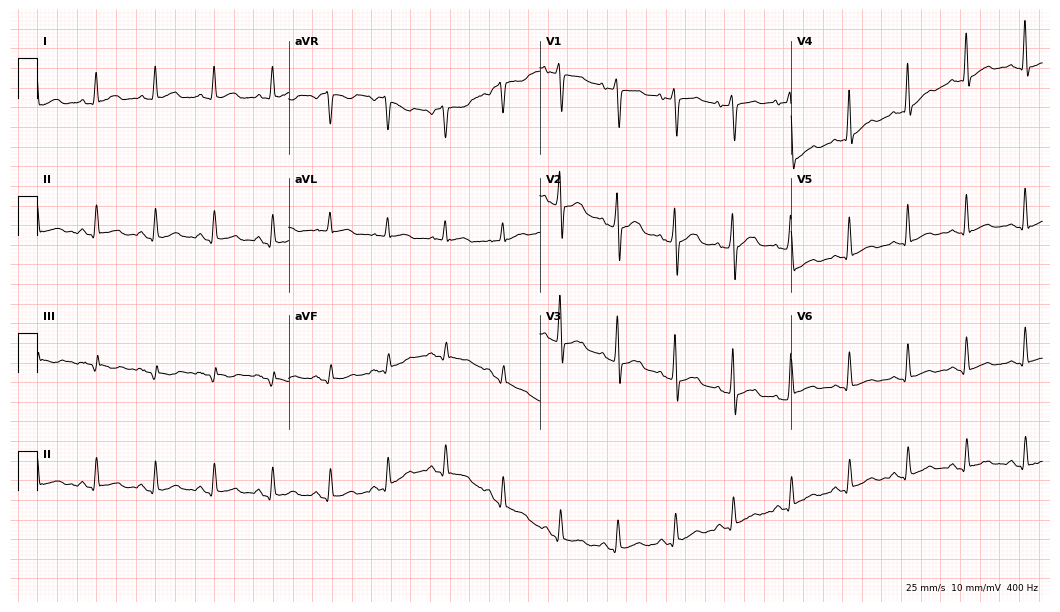
12-lead ECG from a 42-year-old man (10.2-second recording at 400 Hz). No first-degree AV block, right bundle branch block, left bundle branch block, sinus bradycardia, atrial fibrillation or sinus tachycardia recorded for this tracing. Other findings, if any, are not listed.